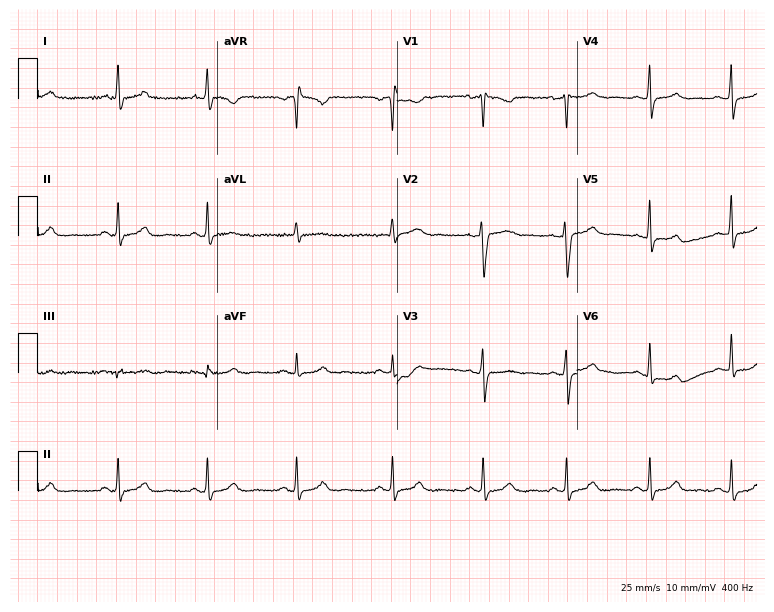
Resting 12-lead electrocardiogram (7.3-second recording at 400 Hz). Patient: a female, 37 years old. None of these six findings is recorded: first-degree AV block, right bundle branch block, left bundle branch block, sinus bradycardia, atrial fibrillation, sinus tachycardia.